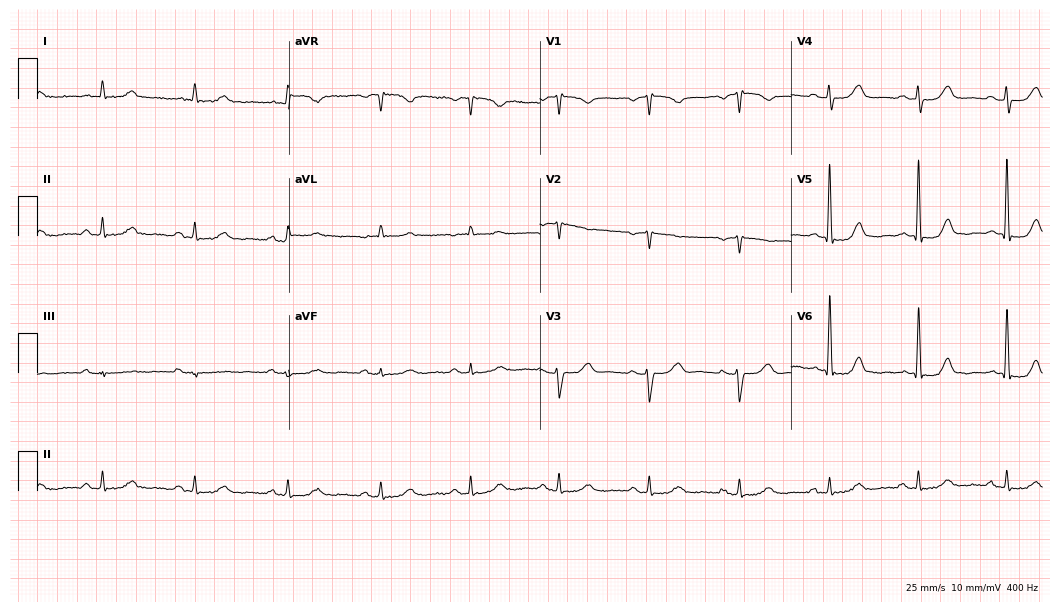
Resting 12-lead electrocardiogram. Patient: a female, 70 years old. None of these six findings is recorded: first-degree AV block, right bundle branch block, left bundle branch block, sinus bradycardia, atrial fibrillation, sinus tachycardia. Other findings, if any, are not listed.